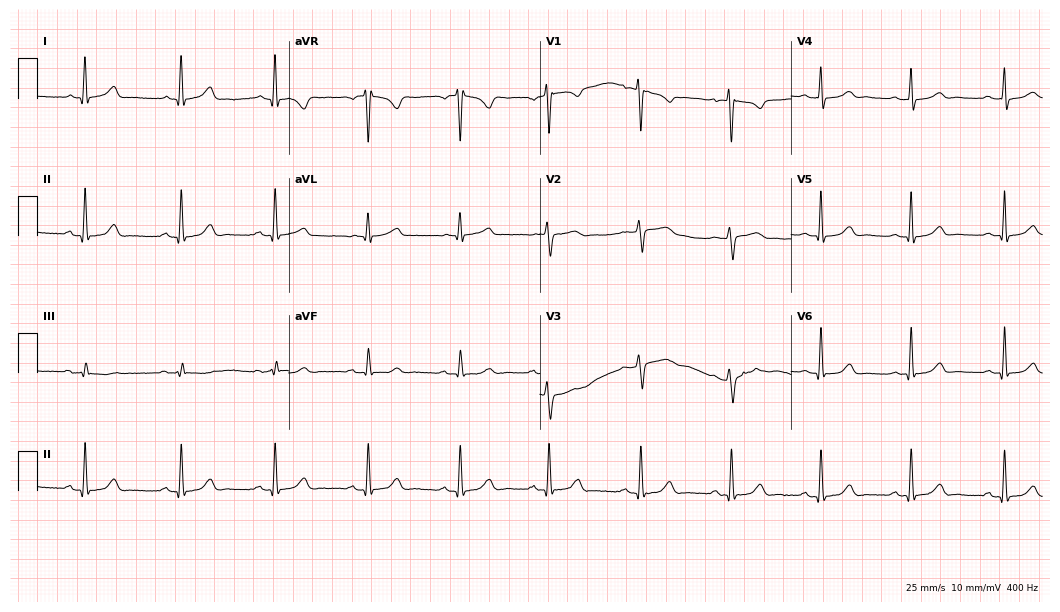
12-lead ECG from a female patient, 52 years old (10.2-second recording at 400 Hz). No first-degree AV block, right bundle branch block, left bundle branch block, sinus bradycardia, atrial fibrillation or sinus tachycardia recorded for this tracing.